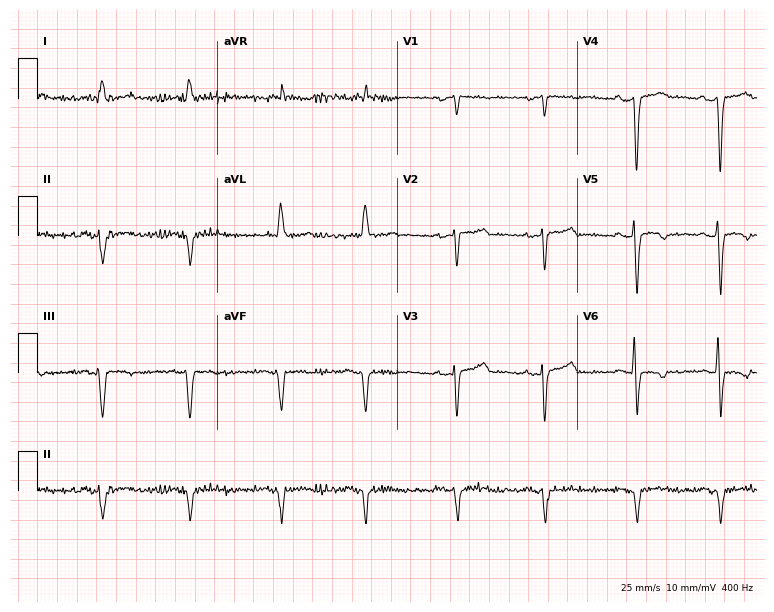
12-lead ECG from a 75-year-old man (7.3-second recording at 400 Hz). No first-degree AV block, right bundle branch block (RBBB), left bundle branch block (LBBB), sinus bradycardia, atrial fibrillation (AF) or sinus tachycardia recorded for this tracing.